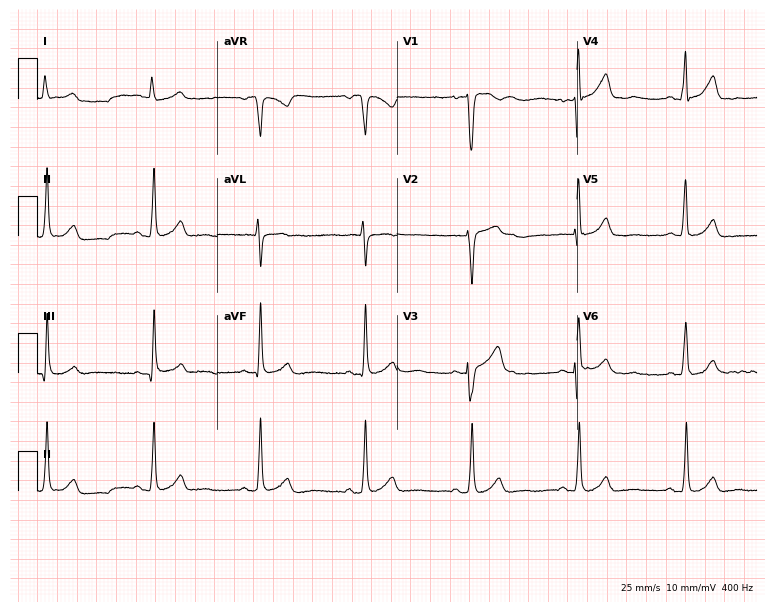
Standard 12-lead ECG recorded from a female, 69 years old (7.3-second recording at 400 Hz). Read as a normal ECG.